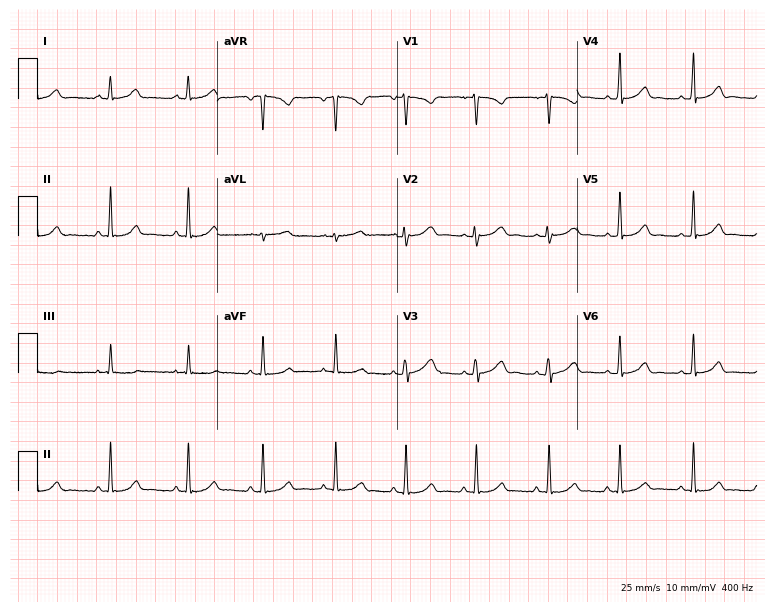
Resting 12-lead electrocardiogram (7.3-second recording at 400 Hz). Patient: a 24-year-old woman. Read as a normal ECG.